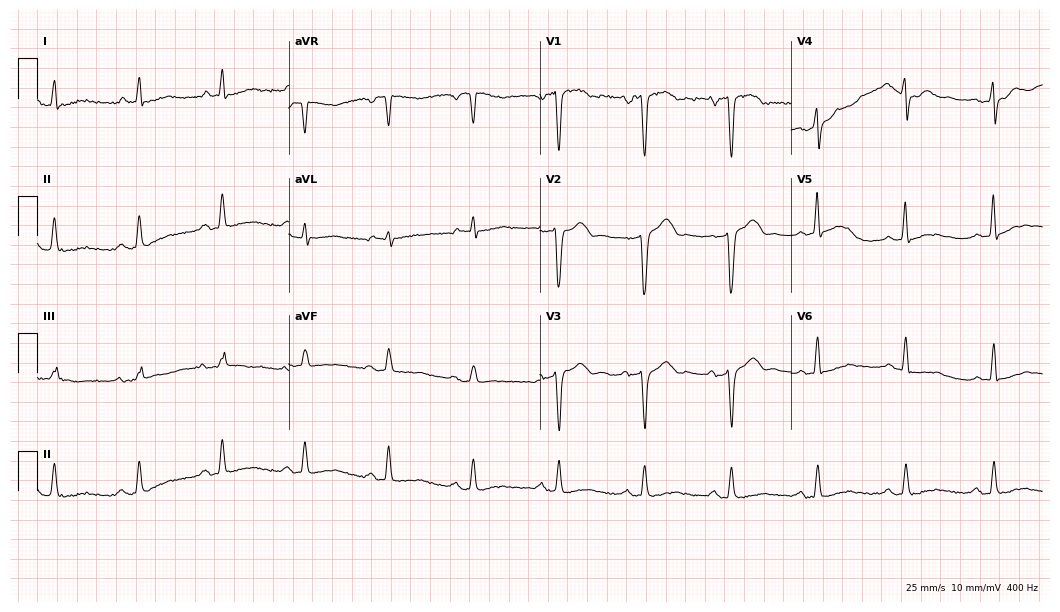
Resting 12-lead electrocardiogram (10.2-second recording at 400 Hz). Patient: a man, 78 years old. None of these six findings is recorded: first-degree AV block, right bundle branch block, left bundle branch block, sinus bradycardia, atrial fibrillation, sinus tachycardia.